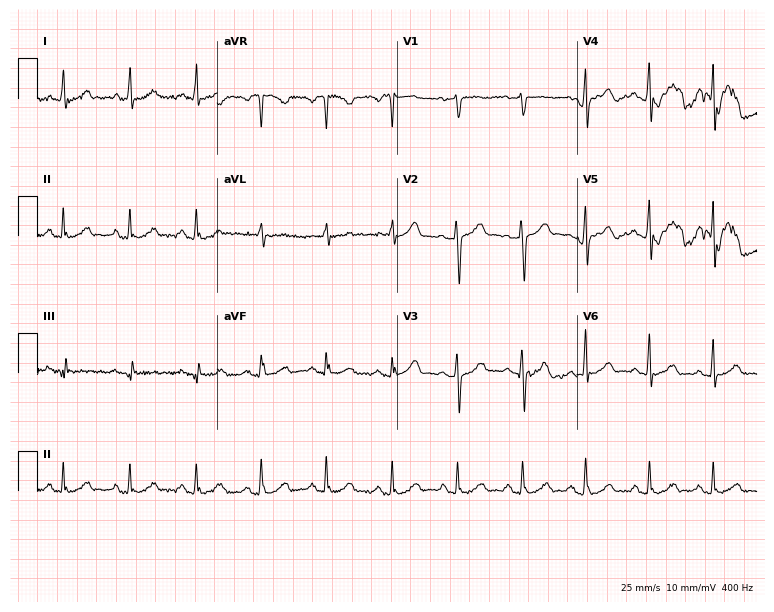
Resting 12-lead electrocardiogram. Patient: a woman, 49 years old. Read as a normal ECG.